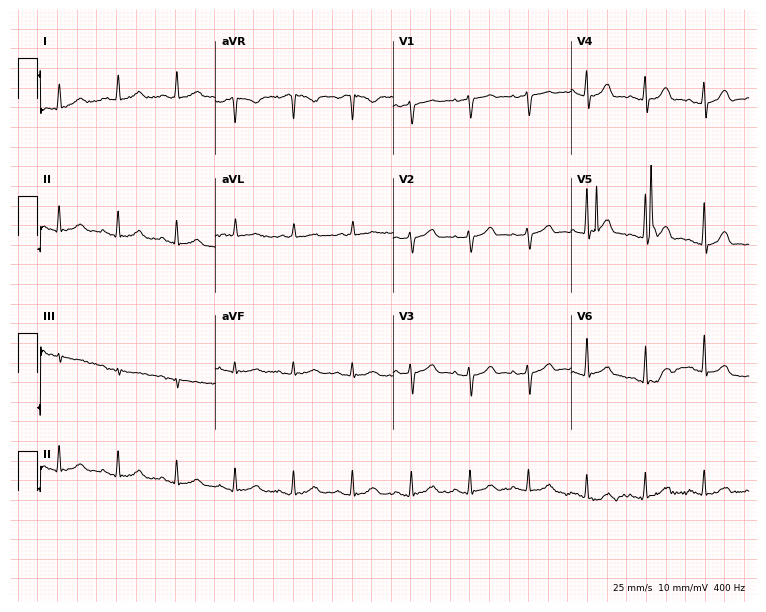
Electrocardiogram, an 83-year-old female patient. Of the six screened findings (first-degree AV block, right bundle branch block (RBBB), left bundle branch block (LBBB), sinus bradycardia, atrial fibrillation (AF), sinus tachycardia), none is recorded. Only these six findings were labelled.